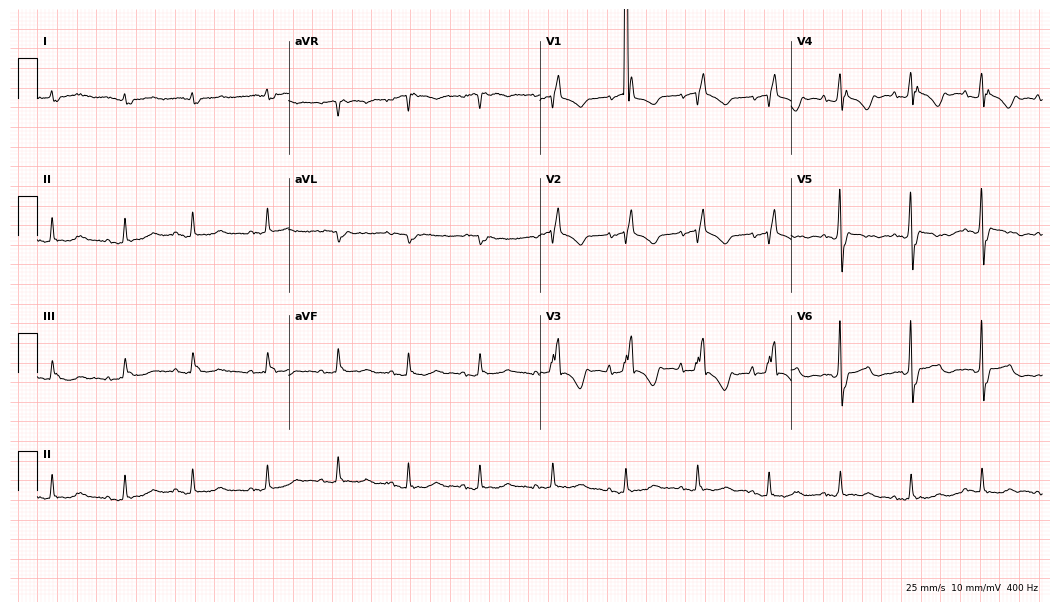
Resting 12-lead electrocardiogram. Patient: a 79-year-old female. The tracing shows right bundle branch block (RBBB).